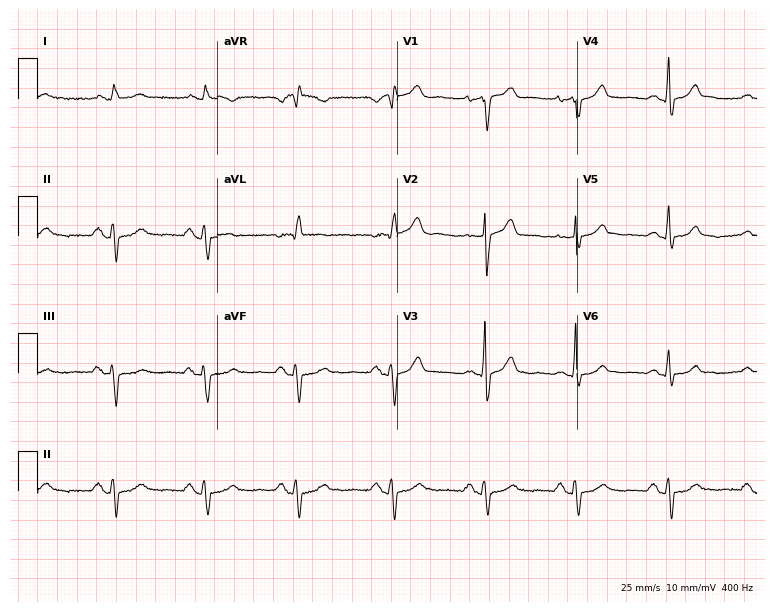
12-lead ECG from a 70-year-old male patient. No first-degree AV block, right bundle branch block, left bundle branch block, sinus bradycardia, atrial fibrillation or sinus tachycardia recorded for this tracing. Only these six findings were labelled.